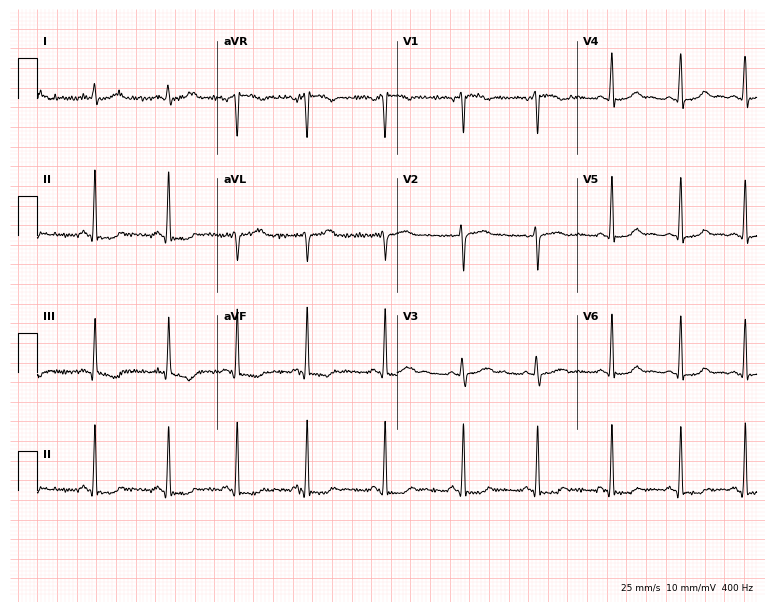
12-lead ECG from a woman, 29 years old (7.3-second recording at 400 Hz). No first-degree AV block, right bundle branch block, left bundle branch block, sinus bradycardia, atrial fibrillation or sinus tachycardia recorded for this tracing.